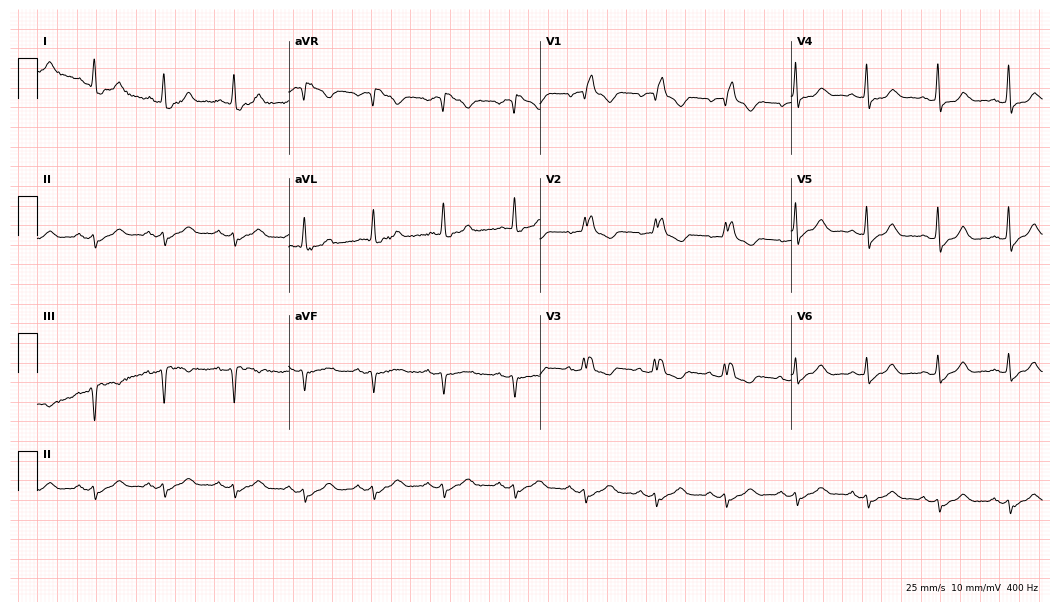
12-lead ECG from a 74-year-old female patient (10.2-second recording at 400 Hz). Shows right bundle branch block.